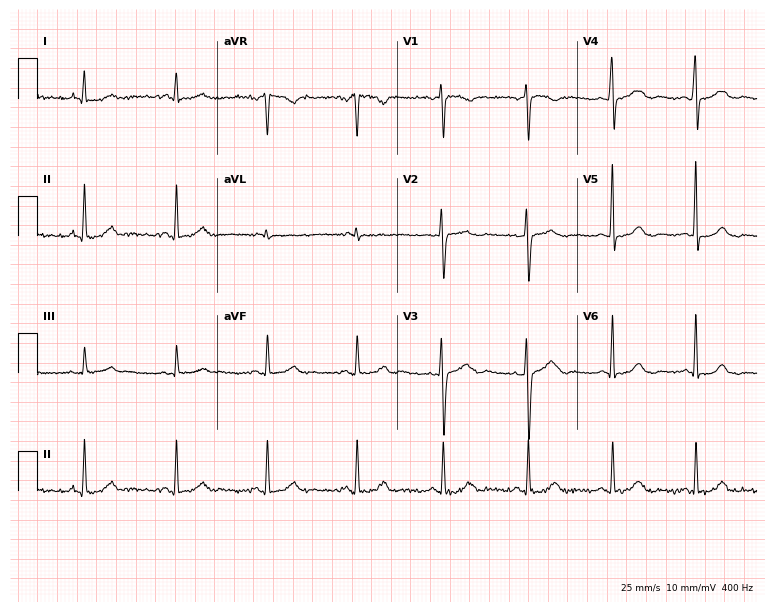
Resting 12-lead electrocardiogram (7.3-second recording at 400 Hz). Patient: a 40-year-old woman. None of these six findings is recorded: first-degree AV block, right bundle branch block (RBBB), left bundle branch block (LBBB), sinus bradycardia, atrial fibrillation (AF), sinus tachycardia. Findings outside these six are not listed.